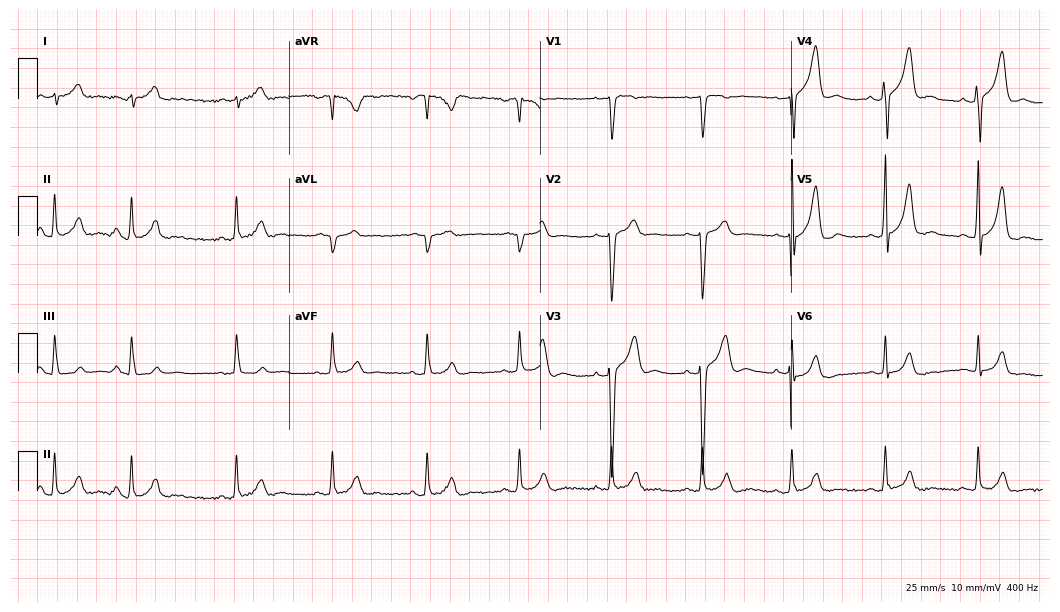
ECG — a male patient, 45 years old. Screened for six findings — first-degree AV block, right bundle branch block, left bundle branch block, sinus bradycardia, atrial fibrillation, sinus tachycardia — none is recorded. Only these six findings were labelled.